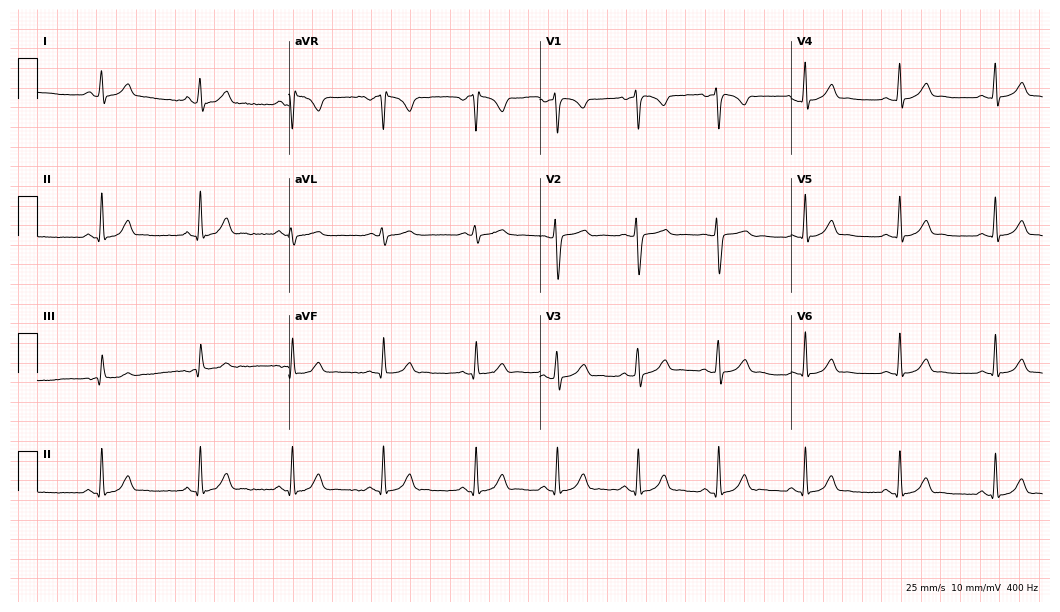
ECG (10.2-second recording at 400 Hz) — a female patient, 24 years old. Labelled as a normal ECG.